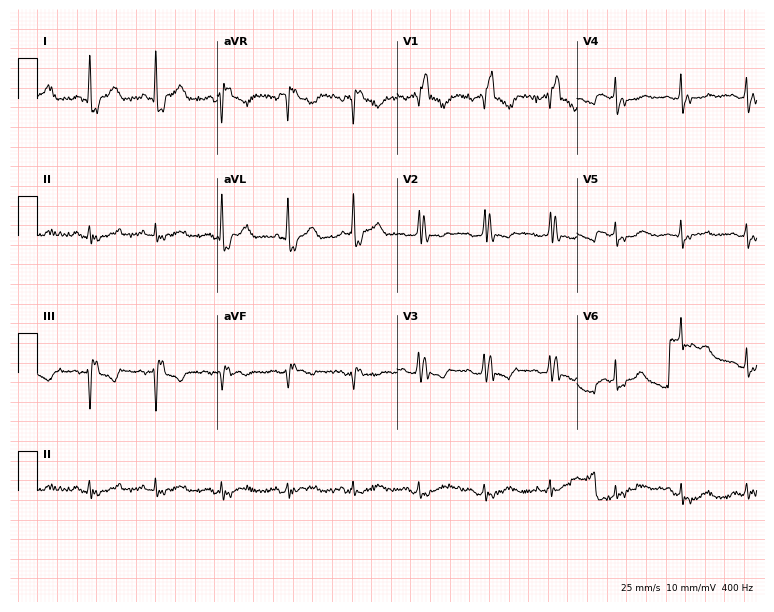
ECG — a man, 78 years old. Findings include right bundle branch block.